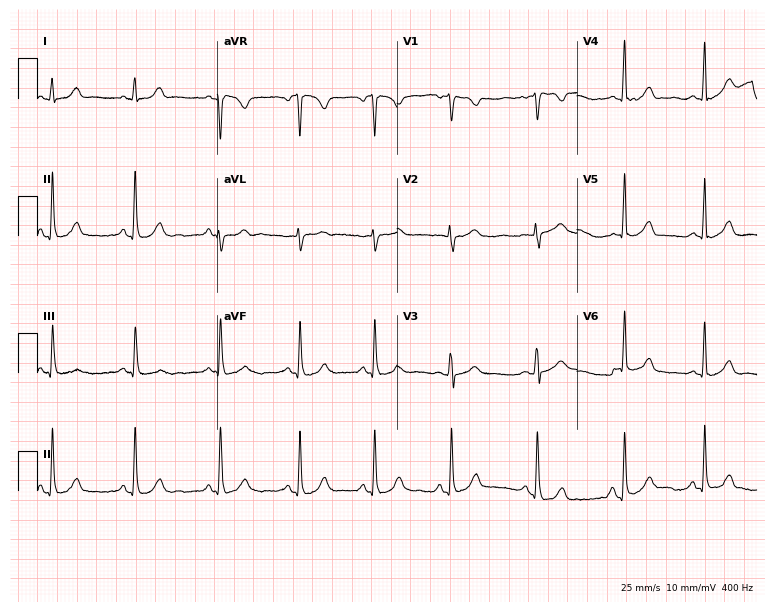
Standard 12-lead ECG recorded from a female patient, 31 years old. Read as a normal ECG.